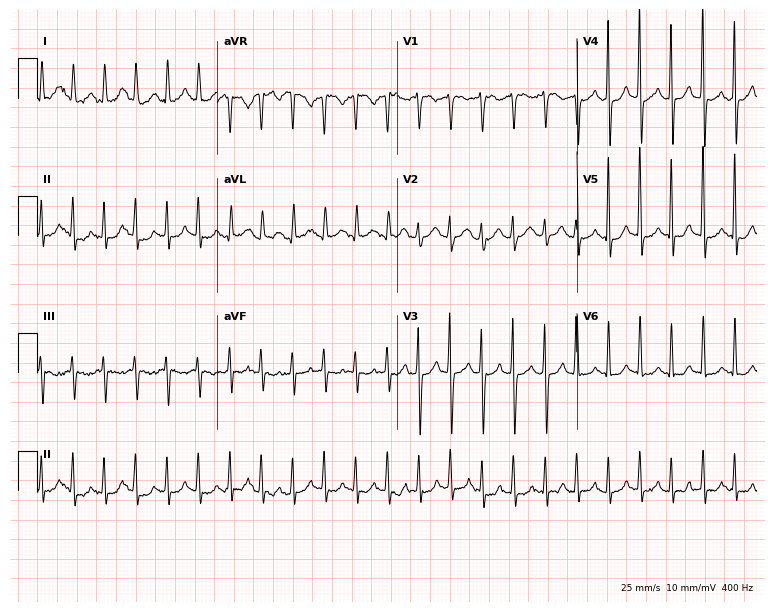
Standard 12-lead ECG recorded from a female patient, 49 years old (7.3-second recording at 400 Hz). The tracing shows sinus tachycardia (a sinus rate of 100 beats per minute or more).